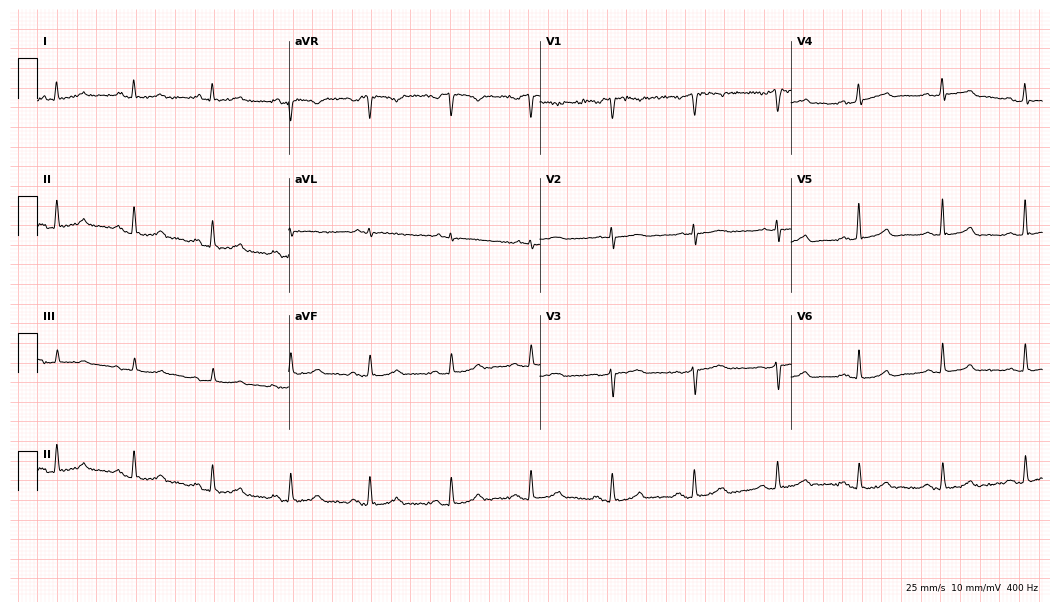
ECG — a 72-year-old male. Labelled as a normal ECG.